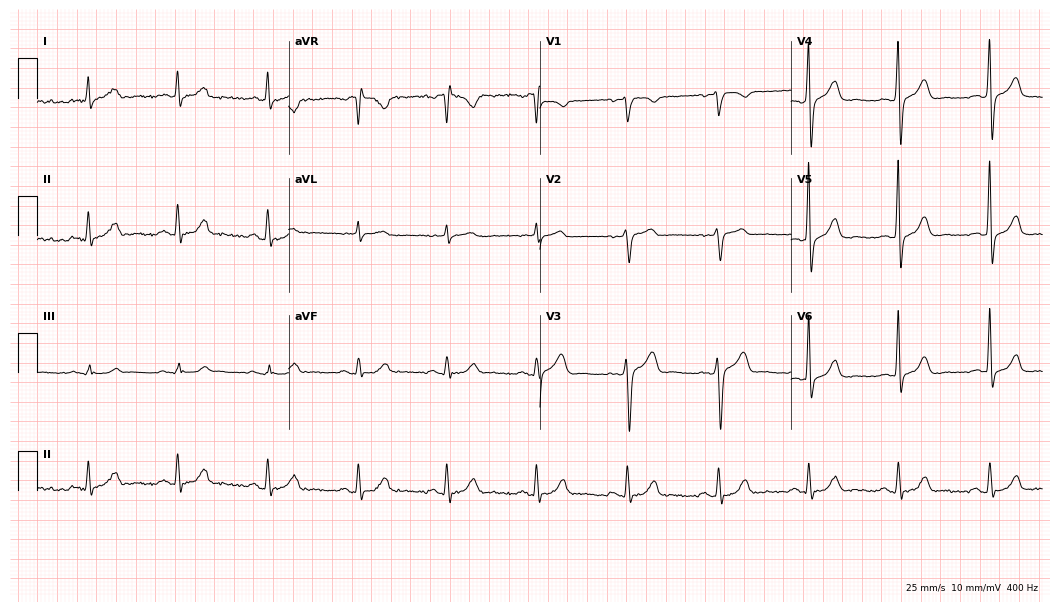
12-lead ECG (10.2-second recording at 400 Hz) from a 46-year-old male patient. Screened for six findings — first-degree AV block, right bundle branch block (RBBB), left bundle branch block (LBBB), sinus bradycardia, atrial fibrillation (AF), sinus tachycardia — none is recorded.